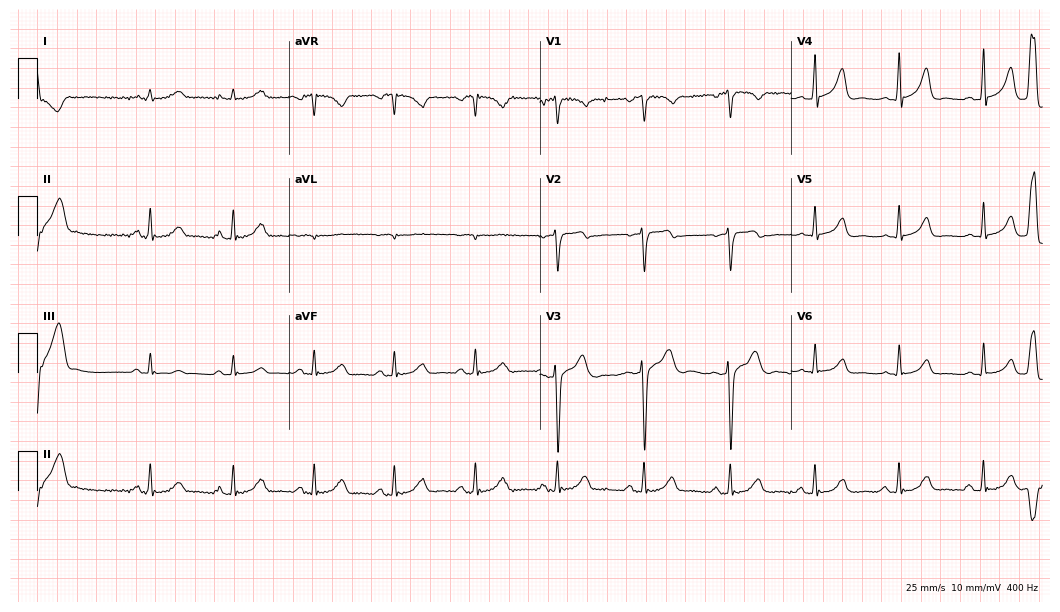
Electrocardiogram (10.2-second recording at 400 Hz), a male patient, 44 years old. Of the six screened findings (first-degree AV block, right bundle branch block, left bundle branch block, sinus bradycardia, atrial fibrillation, sinus tachycardia), none is recorded.